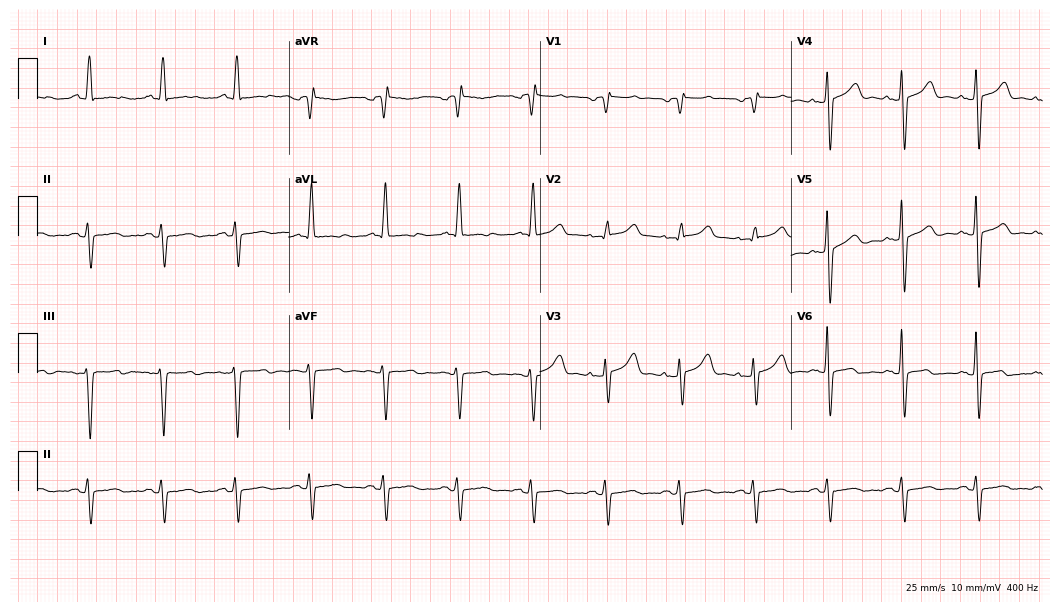
Electrocardiogram, a male patient, 79 years old. Of the six screened findings (first-degree AV block, right bundle branch block, left bundle branch block, sinus bradycardia, atrial fibrillation, sinus tachycardia), none is recorded.